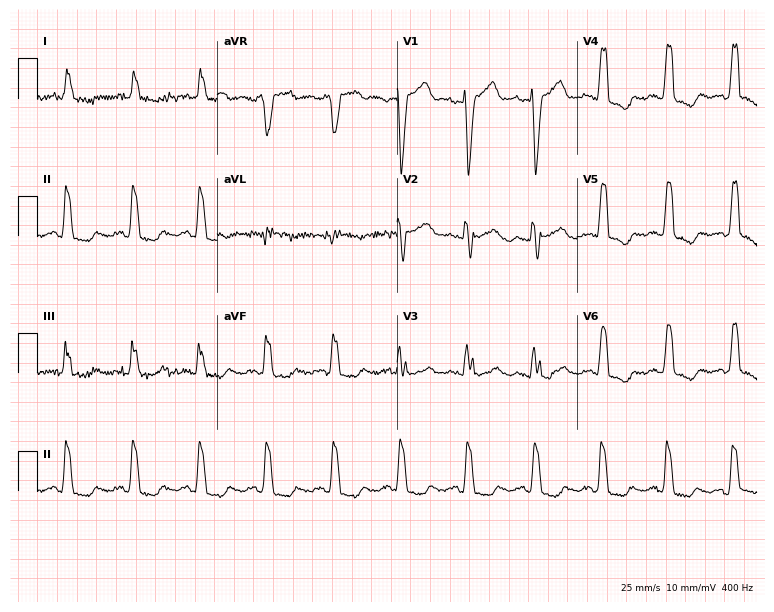
12-lead ECG (7.3-second recording at 400 Hz) from a woman, 64 years old. Findings include left bundle branch block.